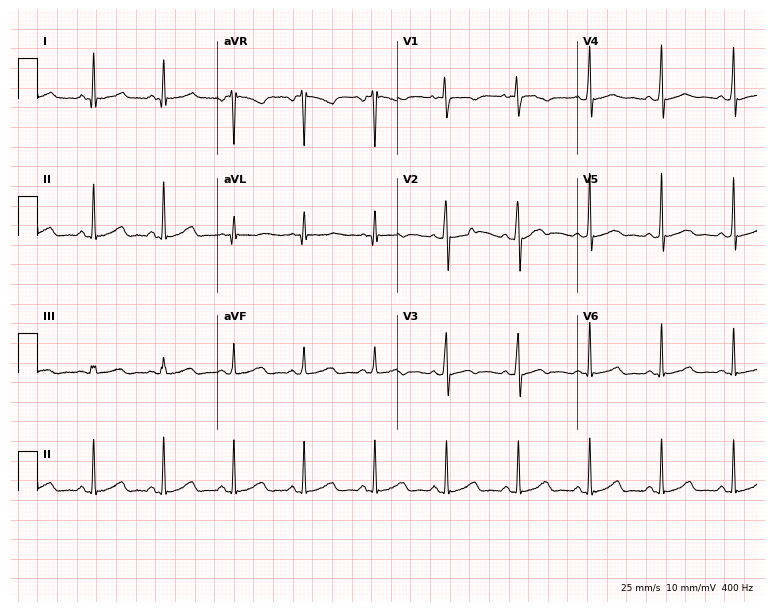
Resting 12-lead electrocardiogram (7.3-second recording at 400 Hz). Patient: a 43-year-old woman. None of these six findings is recorded: first-degree AV block, right bundle branch block, left bundle branch block, sinus bradycardia, atrial fibrillation, sinus tachycardia. Findings outside these six are not listed.